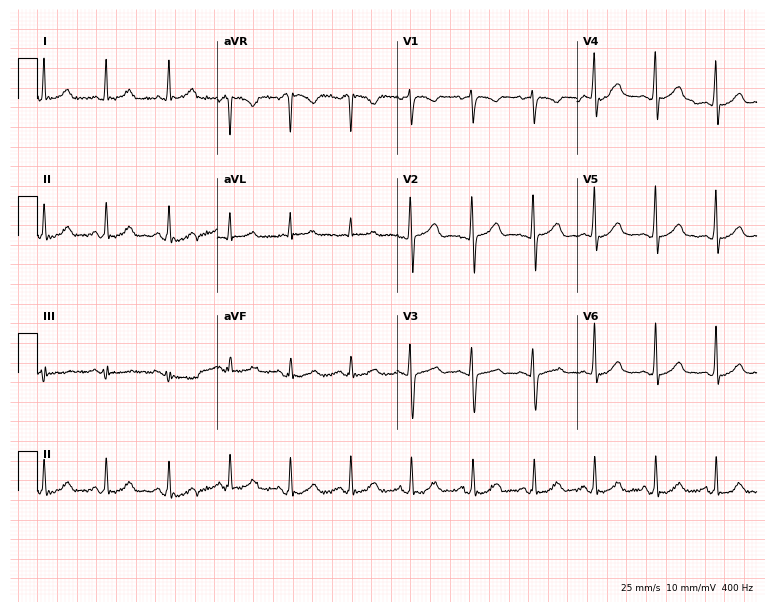
ECG — a female patient, 33 years old. Labelled as a normal ECG.